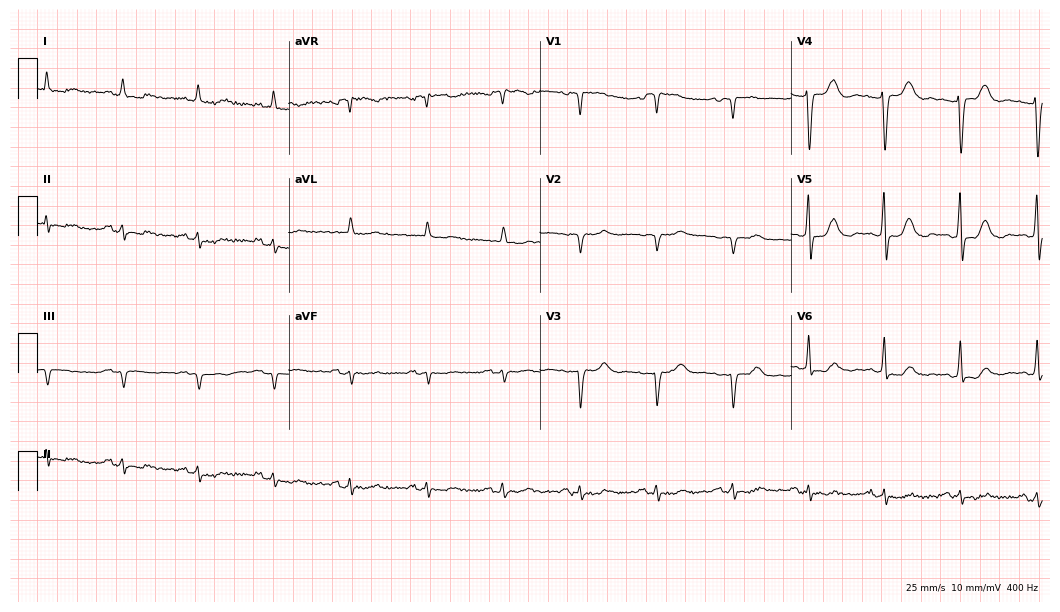
Resting 12-lead electrocardiogram. Patient: an 83-year-old female. None of these six findings is recorded: first-degree AV block, right bundle branch block, left bundle branch block, sinus bradycardia, atrial fibrillation, sinus tachycardia.